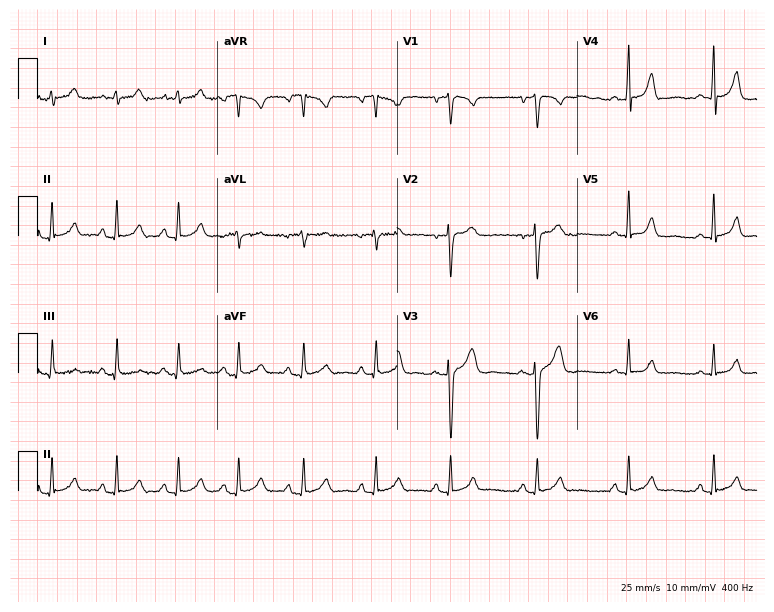
12-lead ECG from a 23-year-old woman (7.3-second recording at 400 Hz). Recorded interpretation: within normal limits.